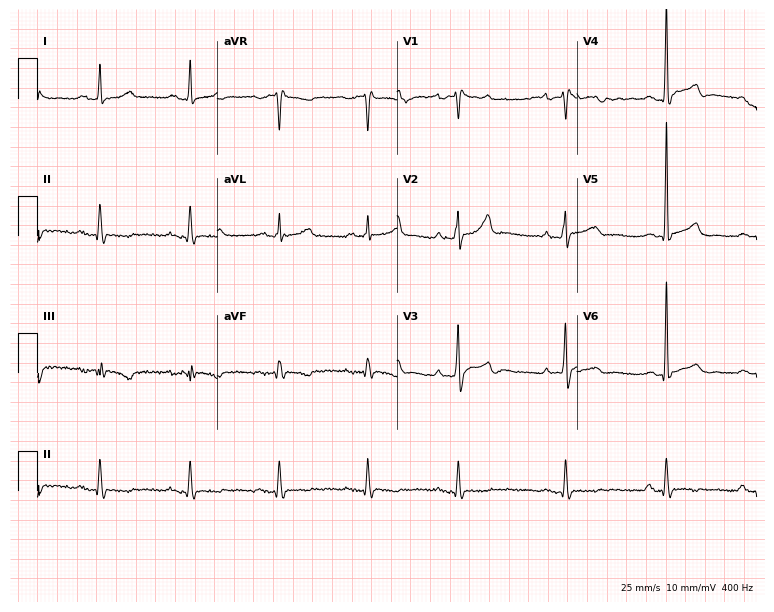
Standard 12-lead ECG recorded from a male, 78 years old. None of these six findings is recorded: first-degree AV block, right bundle branch block, left bundle branch block, sinus bradycardia, atrial fibrillation, sinus tachycardia. Other findings, if any, are not listed.